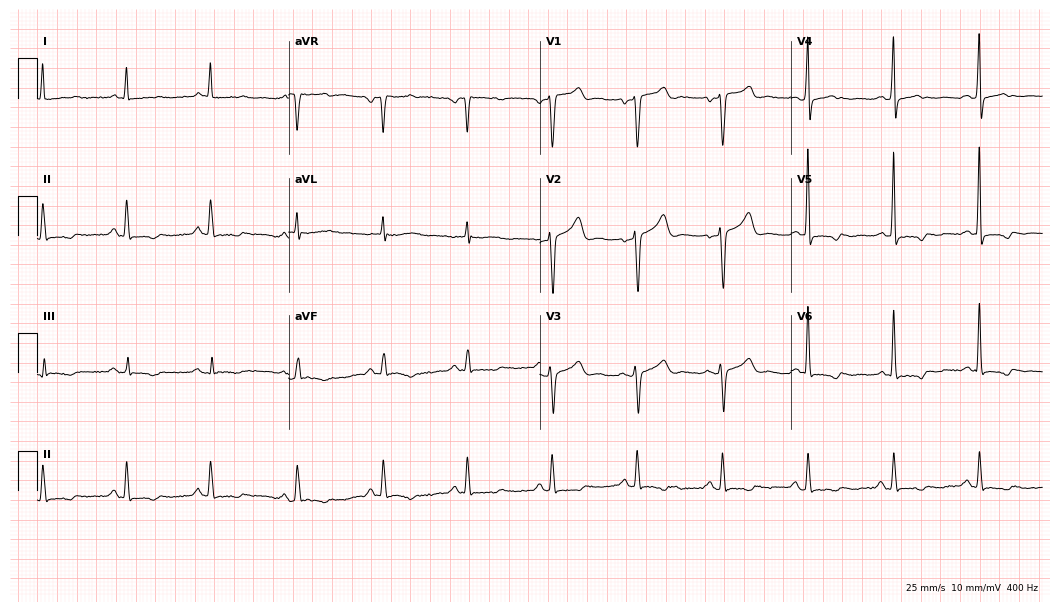
Electrocardiogram, a man, 70 years old. Of the six screened findings (first-degree AV block, right bundle branch block, left bundle branch block, sinus bradycardia, atrial fibrillation, sinus tachycardia), none is recorded.